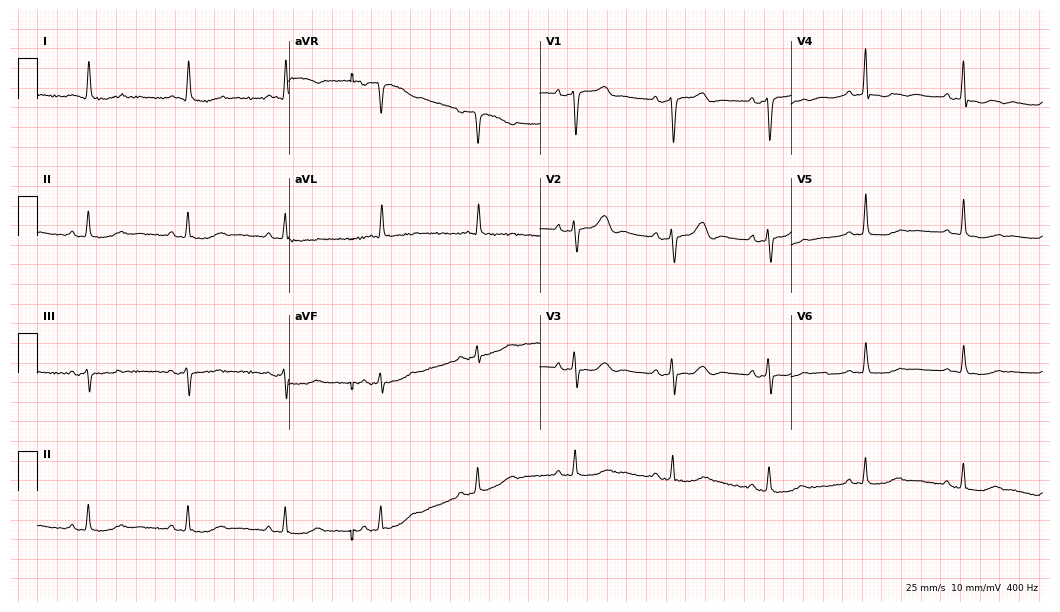
12-lead ECG from a 77-year-old female. No first-degree AV block, right bundle branch block, left bundle branch block, sinus bradycardia, atrial fibrillation or sinus tachycardia recorded for this tracing. Findings outside these six are not listed.